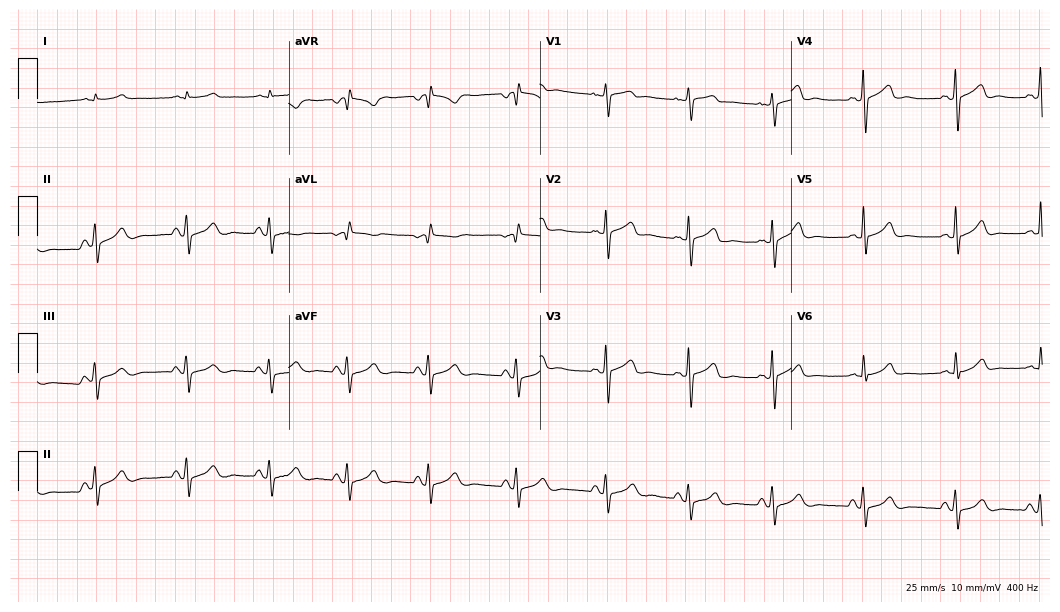
ECG — a 73-year-old man. Labelled as a normal ECG.